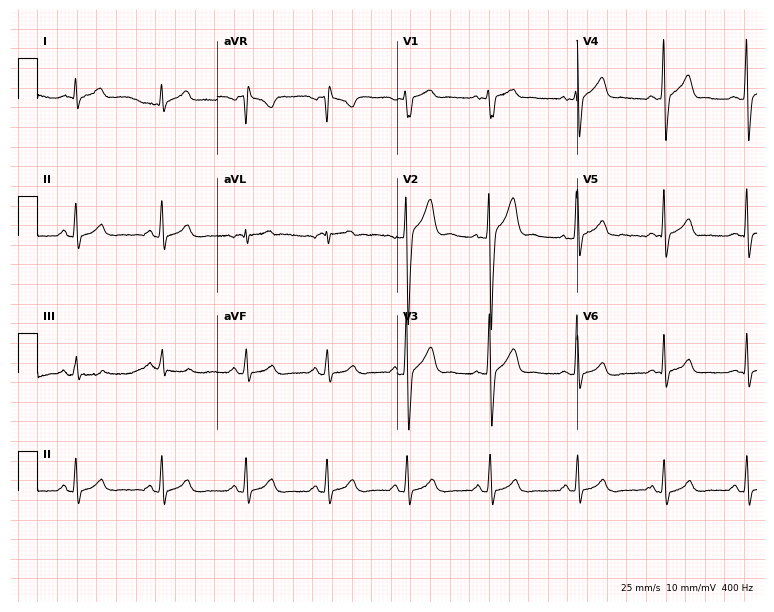
Electrocardiogram (7.3-second recording at 400 Hz), a 20-year-old male patient. Overall reading on record: normal ECG.